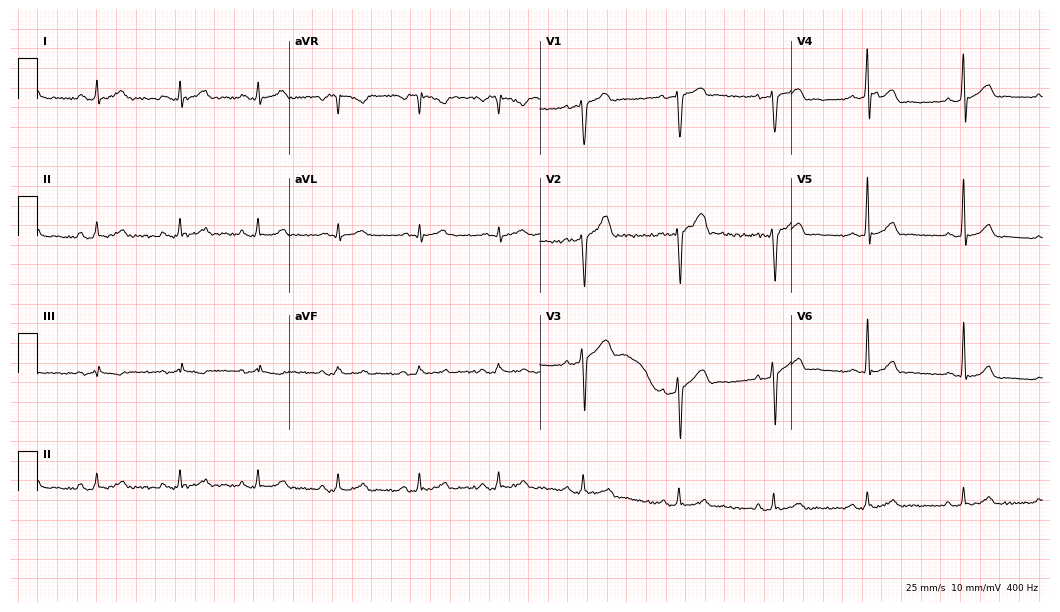
Resting 12-lead electrocardiogram (10.2-second recording at 400 Hz). Patient: a 32-year-old male. Read as a normal ECG.